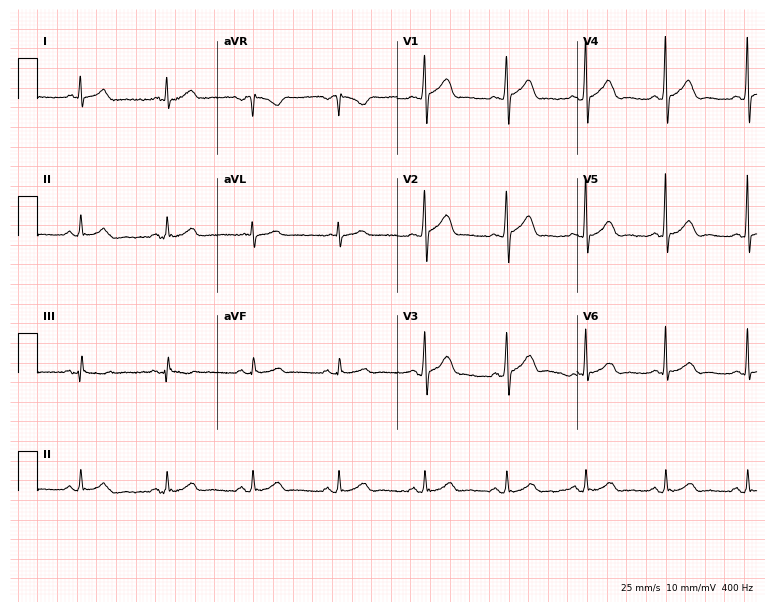
Resting 12-lead electrocardiogram (7.3-second recording at 400 Hz). Patient: a 71-year-old man. None of these six findings is recorded: first-degree AV block, right bundle branch block, left bundle branch block, sinus bradycardia, atrial fibrillation, sinus tachycardia.